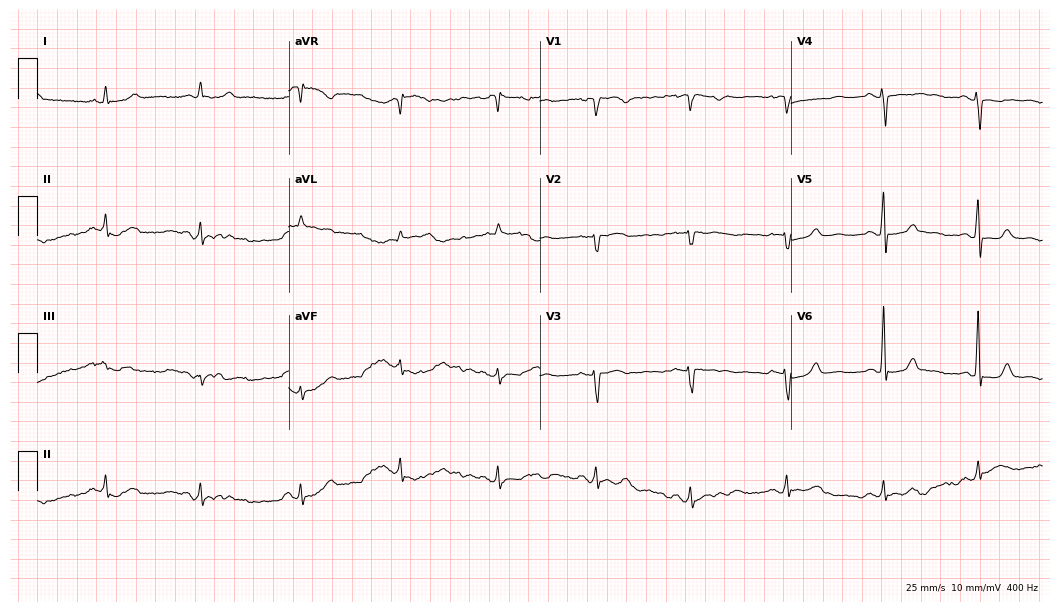
12-lead ECG (10.2-second recording at 400 Hz) from a 64-year-old woman. Screened for six findings — first-degree AV block, right bundle branch block (RBBB), left bundle branch block (LBBB), sinus bradycardia, atrial fibrillation (AF), sinus tachycardia — none is recorded.